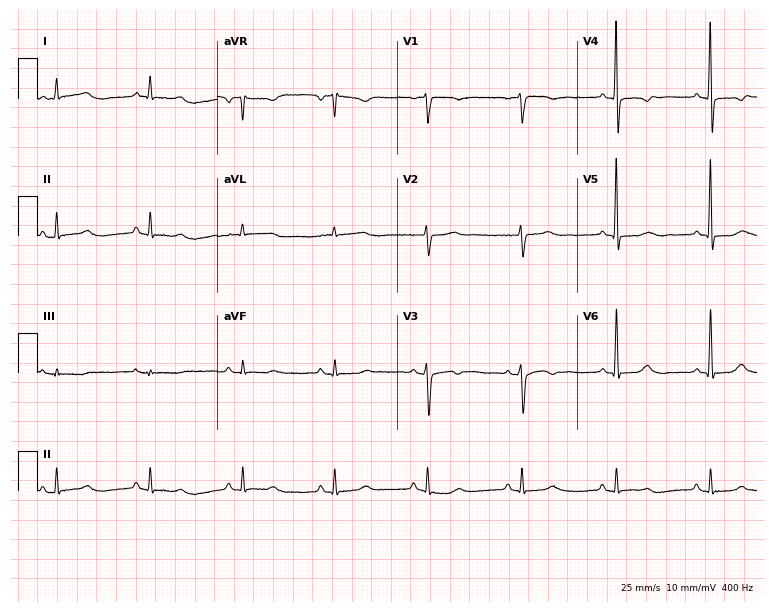
Resting 12-lead electrocardiogram. Patient: a man, 55 years old. None of these six findings is recorded: first-degree AV block, right bundle branch block, left bundle branch block, sinus bradycardia, atrial fibrillation, sinus tachycardia. Only these six findings were labelled.